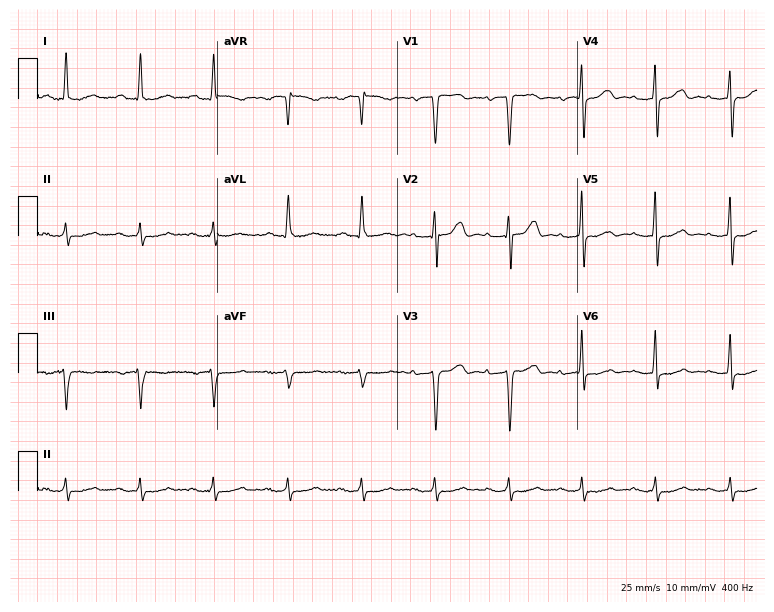
Standard 12-lead ECG recorded from a 51-year-old female patient. Read as a normal ECG.